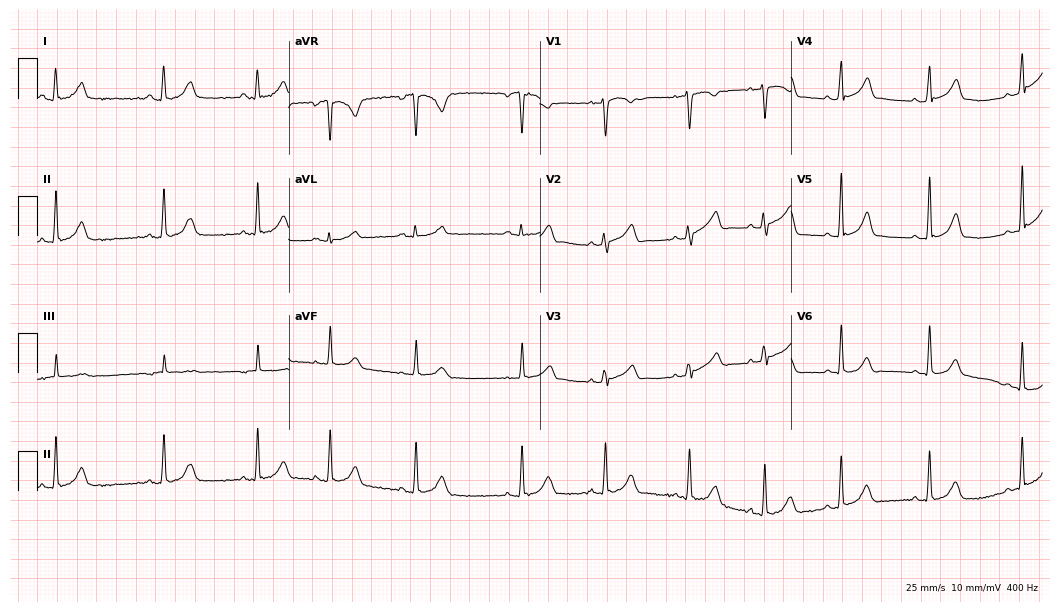
Electrocardiogram, a woman, 19 years old. Overall reading on record: normal ECG.